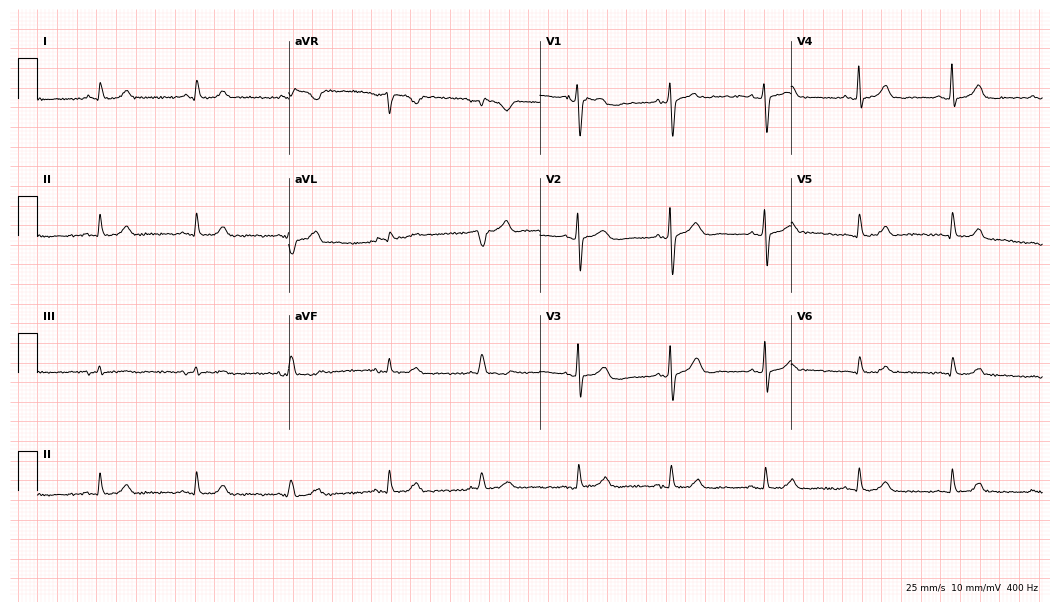
Standard 12-lead ECG recorded from a male patient, 73 years old. None of these six findings is recorded: first-degree AV block, right bundle branch block, left bundle branch block, sinus bradycardia, atrial fibrillation, sinus tachycardia. Findings outside these six are not listed.